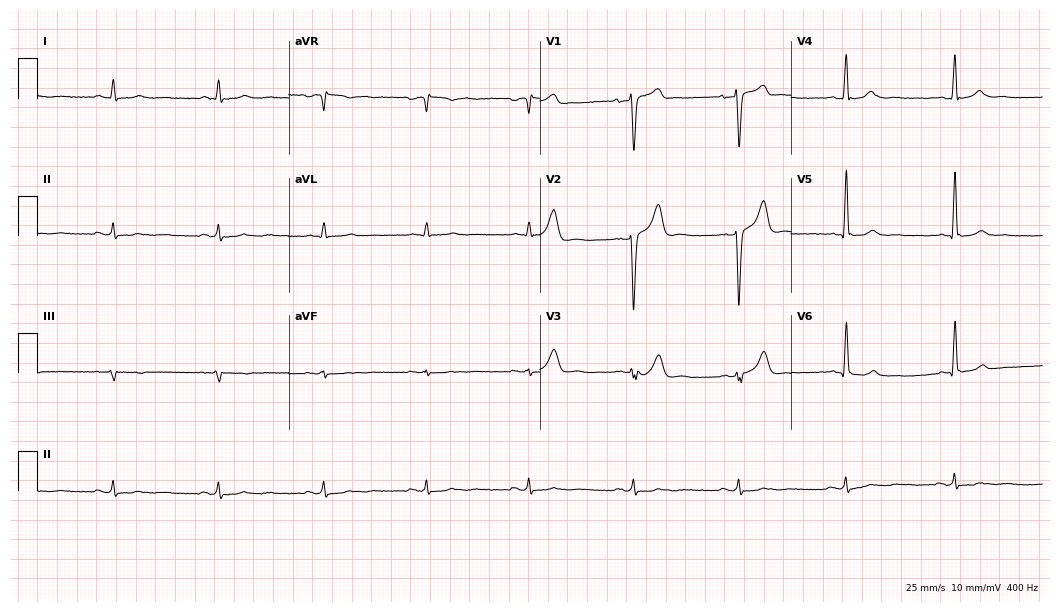
Resting 12-lead electrocardiogram (10.2-second recording at 400 Hz). Patient: a 55-year-old man. None of these six findings is recorded: first-degree AV block, right bundle branch block, left bundle branch block, sinus bradycardia, atrial fibrillation, sinus tachycardia. Other findings, if any, are not listed.